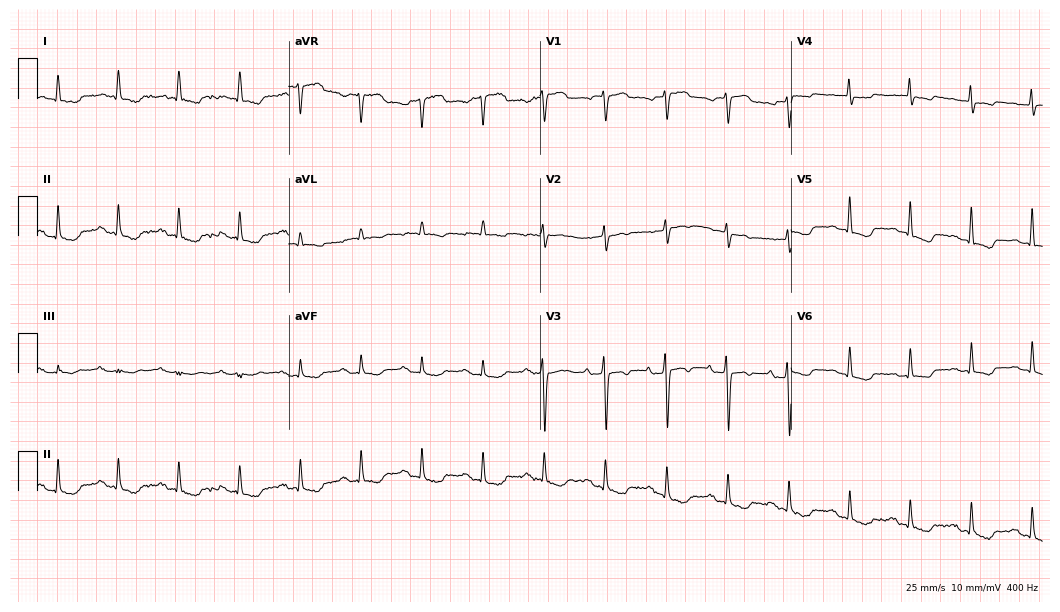
Electrocardiogram, an 81-year-old female. Of the six screened findings (first-degree AV block, right bundle branch block (RBBB), left bundle branch block (LBBB), sinus bradycardia, atrial fibrillation (AF), sinus tachycardia), none is recorded.